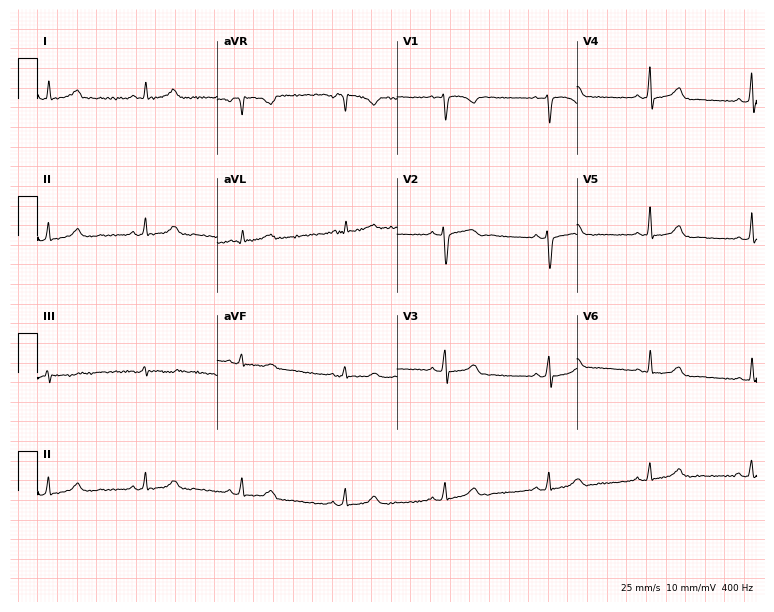
Electrocardiogram (7.3-second recording at 400 Hz), a 39-year-old female. Of the six screened findings (first-degree AV block, right bundle branch block, left bundle branch block, sinus bradycardia, atrial fibrillation, sinus tachycardia), none is recorded.